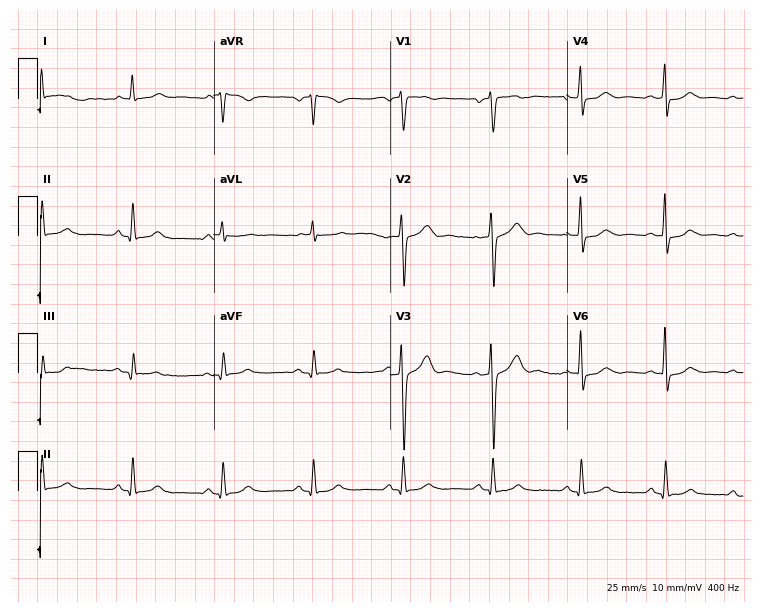
Standard 12-lead ECG recorded from a 68-year-old male (7.2-second recording at 400 Hz). Read as a normal ECG.